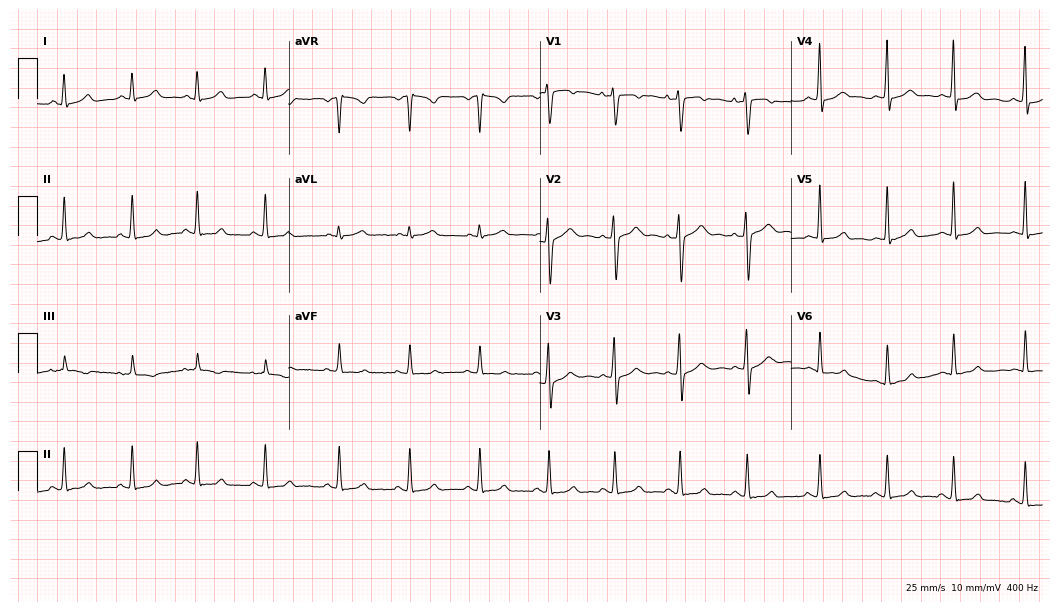
ECG (10.2-second recording at 400 Hz) — an 18-year-old female. Labelled as a normal ECG.